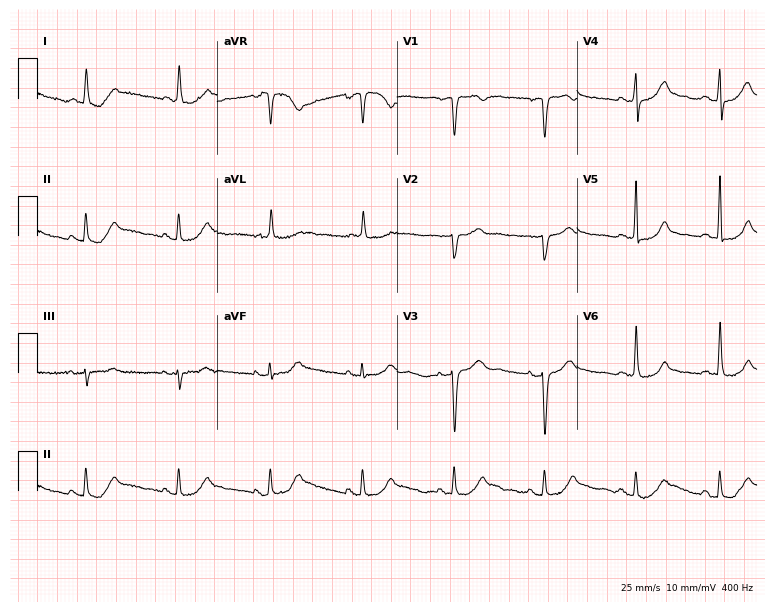
Electrocardiogram (7.3-second recording at 400 Hz), an 83-year-old female. Overall reading on record: normal ECG.